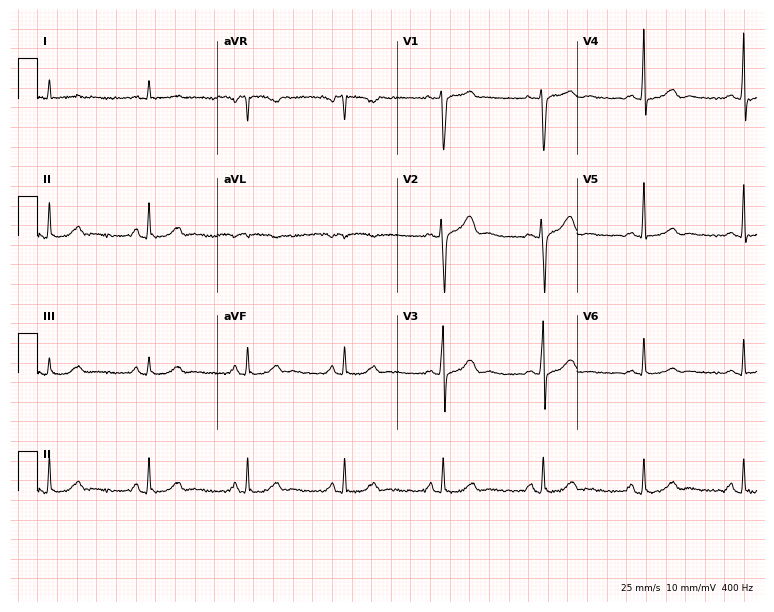
ECG — a man, 38 years old. Screened for six findings — first-degree AV block, right bundle branch block, left bundle branch block, sinus bradycardia, atrial fibrillation, sinus tachycardia — none is recorded.